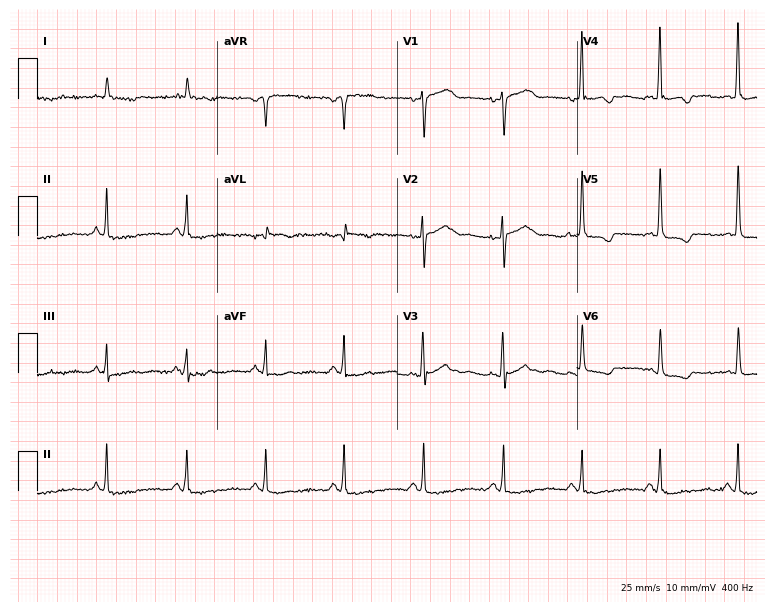
Electrocardiogram, a woman, 82 years old. Of the six screened findings (first-degree AV block, right bundle branch block, left bundle branch block, sinus bradycardia, atrial fibrillation, sinus tachycardia), none is recorded.